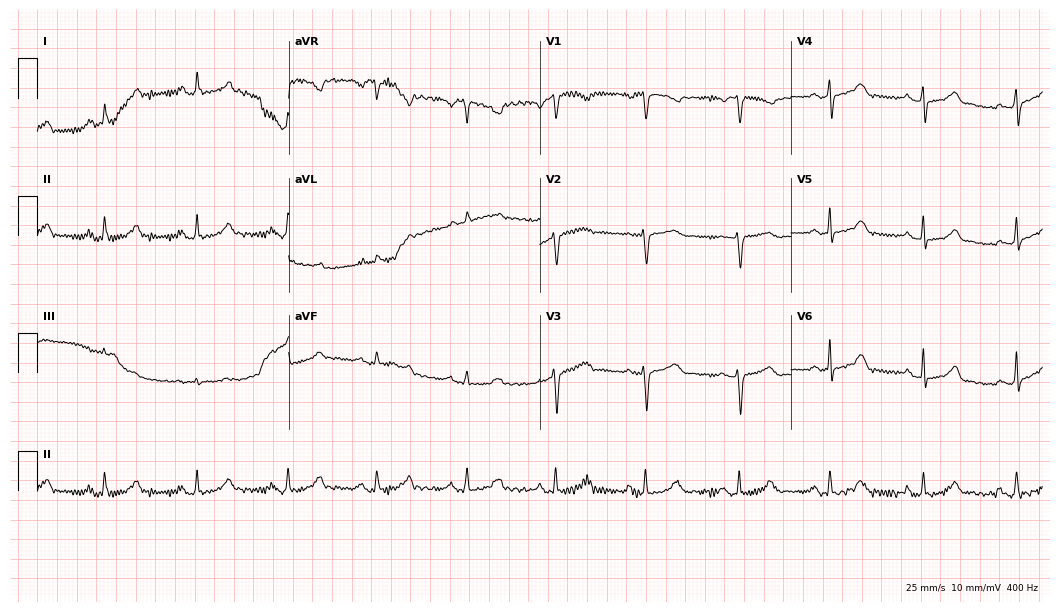
Resting 12-lead electrocardiogram (10.2-second recording at 400 Hz). Patient: a female, 43 years old. None of these six findings is recorded: first-degree AV block, right bundle branch block (RBBB), left bundle branch block (LBBB), sinus bradycardia, atrial fibrillation (AF), sinus tachycardia. Findings outside these six are not listed.